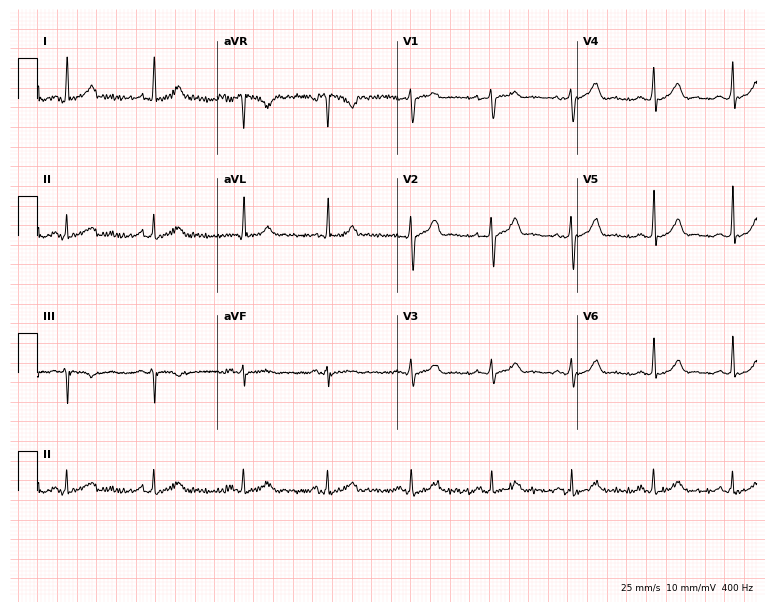
12-lead ECG from a 27-year-old woman. Labelled as a normal ECG.